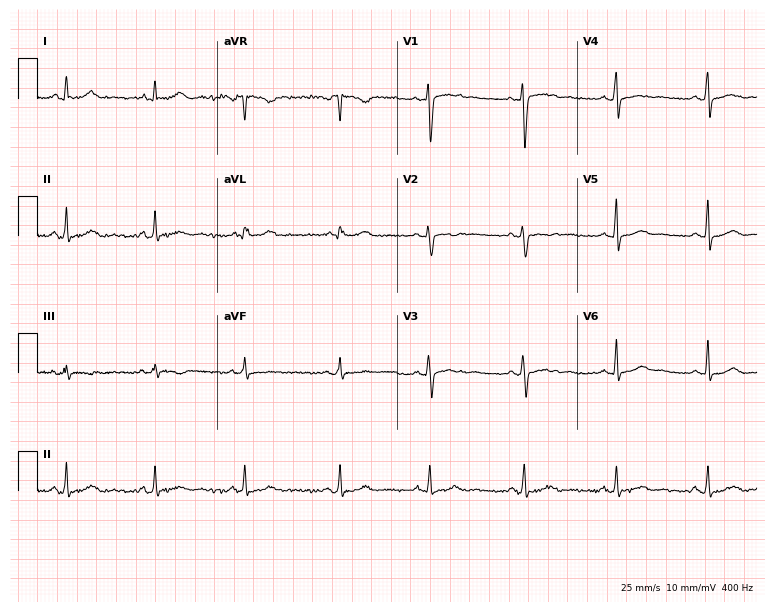
12-lead ECG (7.3-second recording at 400 Hz) from a 25-year-old woman. Labelled as a normal ECG.